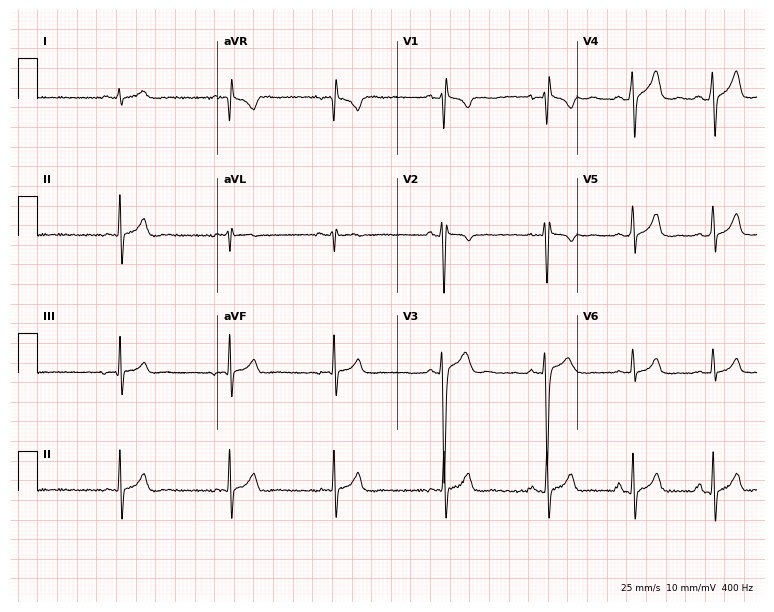
Resting 12-lead electrocardiogram (7.3-second recording at 400 Hz). Patient: a male, 18 years old. Read as a normal ECG.